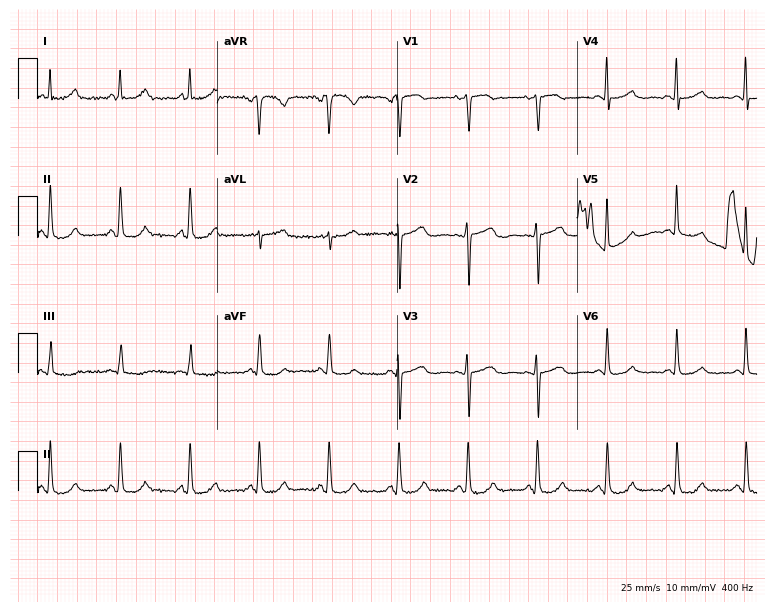
Standard 12-lead ECG recorded from a 69-year-old woman. Read as a normal ECG.